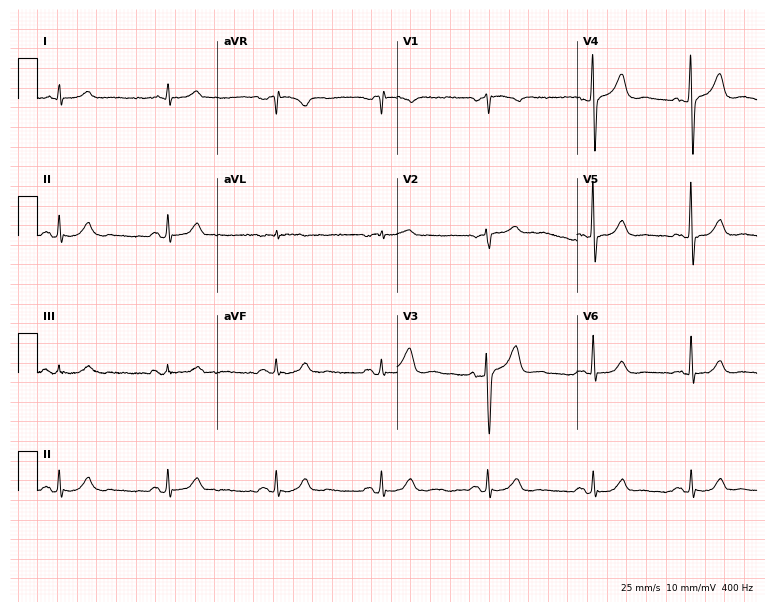
12-lead ECG from a 61-year-old man. Labelled as a normal ECG.